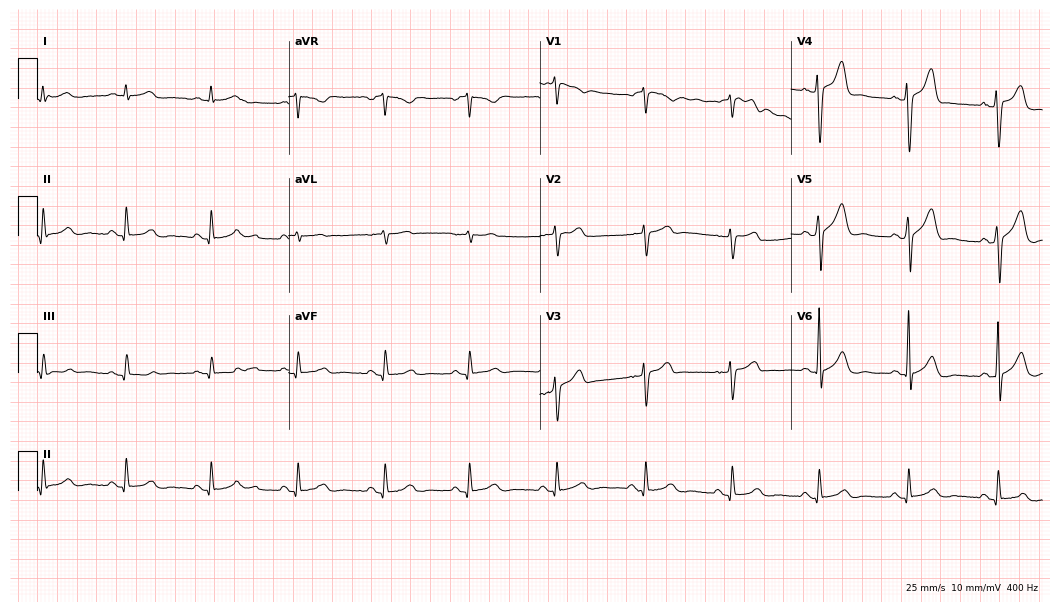
Standard 12-lead ECG recorded from a male, 69 years old. None of these six findings is recorded: first-degree AV block, right bundle branch block (RBBB), left bundle branch block (LBBB), sinus bradycardia, atrial fibrillation (AF), sinus tachycardia.